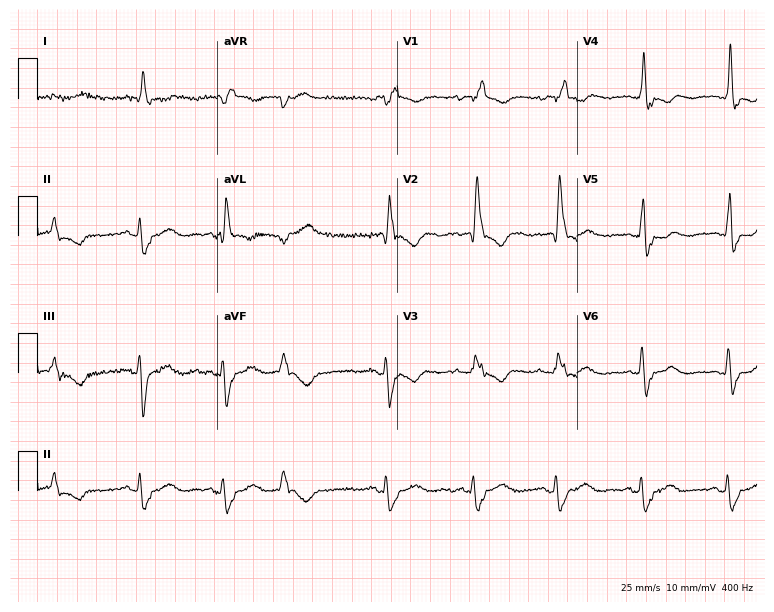
12-lead ECG (7.3-second recording at 400 Hz) from a female patient, 70 years old. Findings include right bundle branch block.